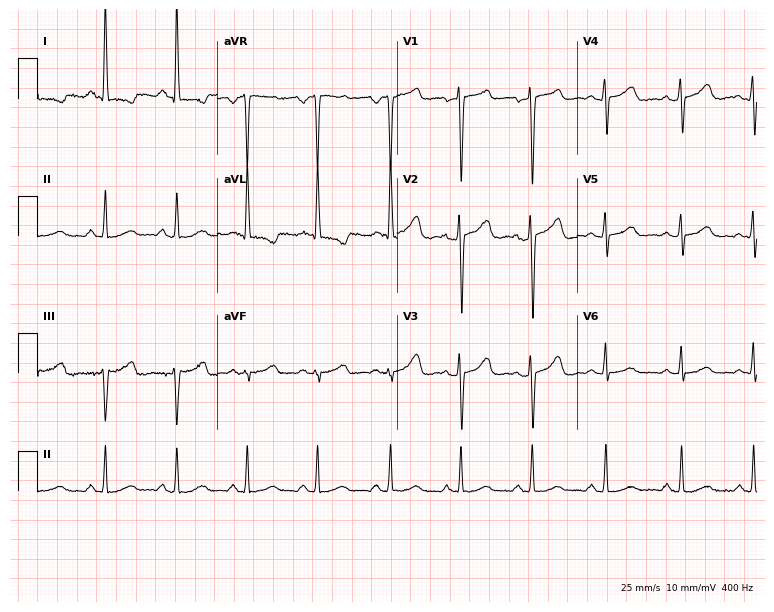
ECG (7.3-second recording at 400 Hz) — a 35-year-old female. Screened for six findings — first-degree AV block, right bundle branch block (RBBB), left bundle branch block (LBBB), sinus bradycardia, atrial fibrillation (AF), sinus tachycardia — none is recorded.